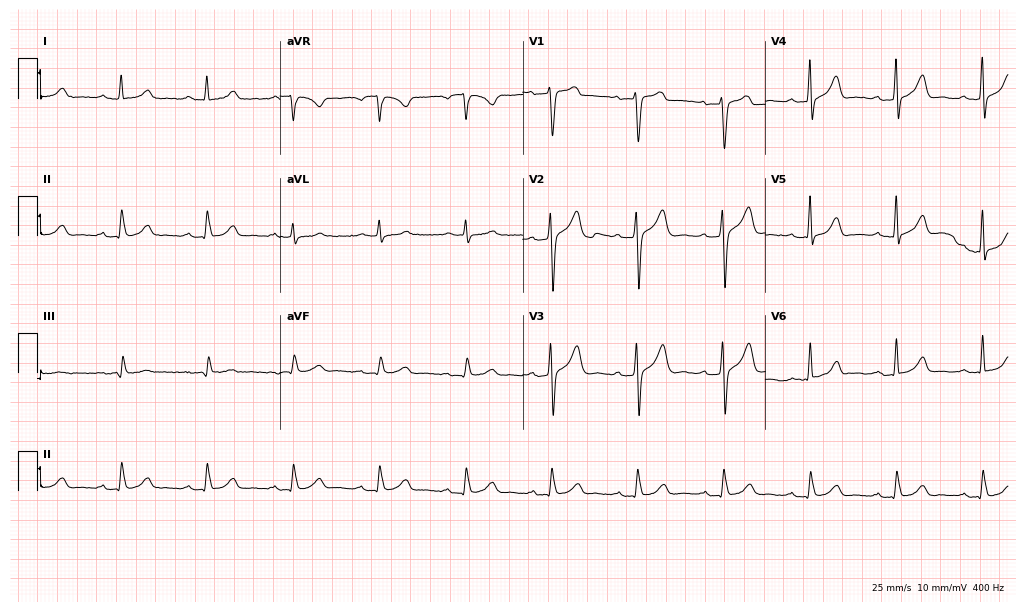
12-lead ECG from a male patient, 58 years old. Findings include first-degree AV block.